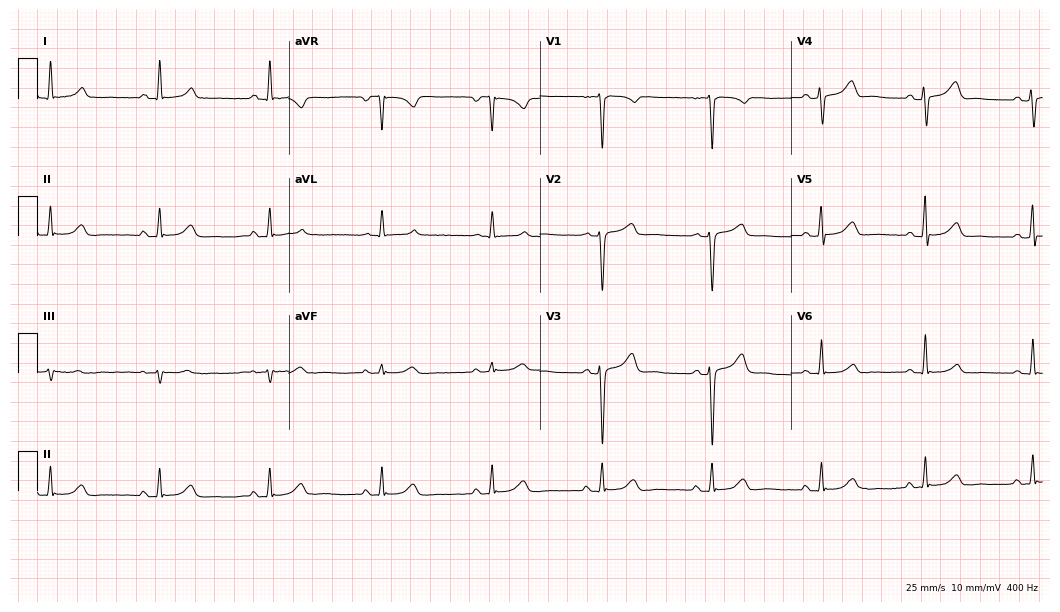
12-lead ECG from a woman, 48 years old. Recorded interpretation: within normal limits.